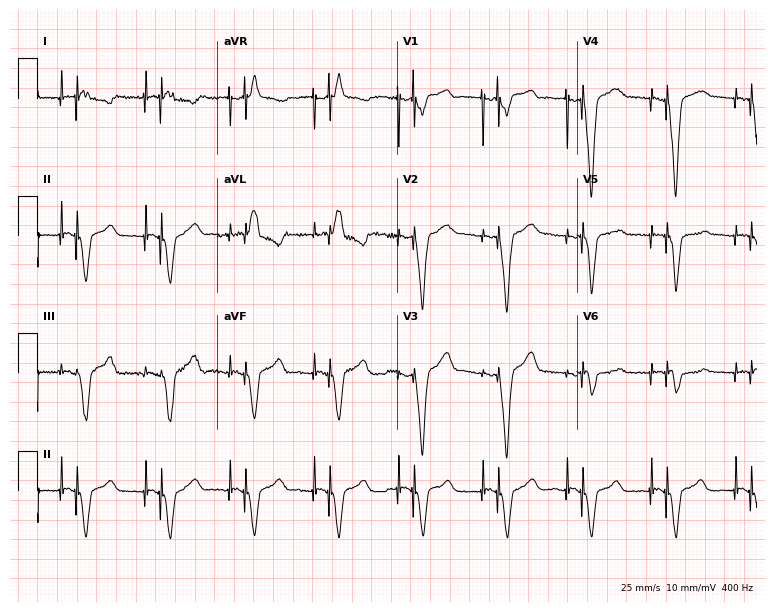
12-lead ECG from a 53-year-old male patient. Screened for six findings — first-degree AV block, right bundle branch block (RBBB), left bundle branch block (LBBB), sinus bradycardia, atrial fibrillation (AF), sinus tachycardia — none is recorded. Findings outside these six are not listed.